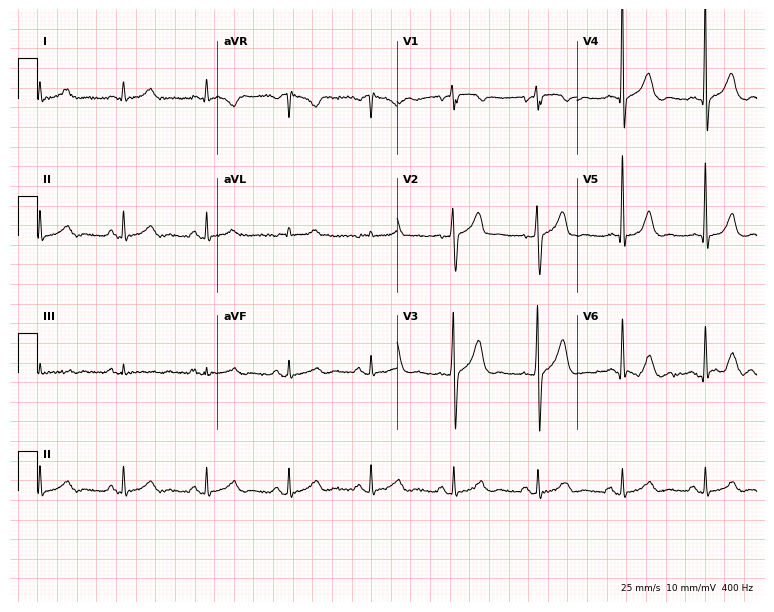
ECG — a 66-year-old man. Screened for six findings — first-degree AV block, right bundle branch block, left bundle branch block, sinus bradycardia, atrial fibrillation, sinus tachycardia — none is recorded.